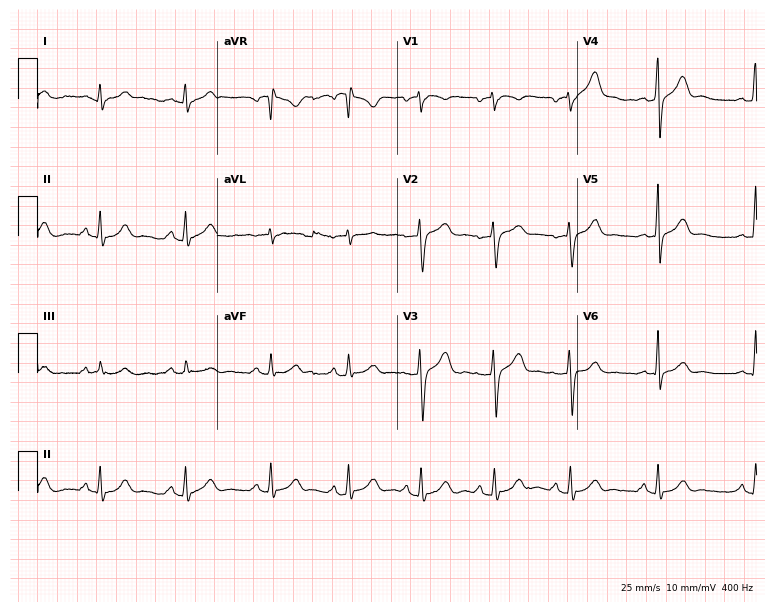
12-lead ECG from a 57-year-old man. Recorded interpretation: within normal limits.